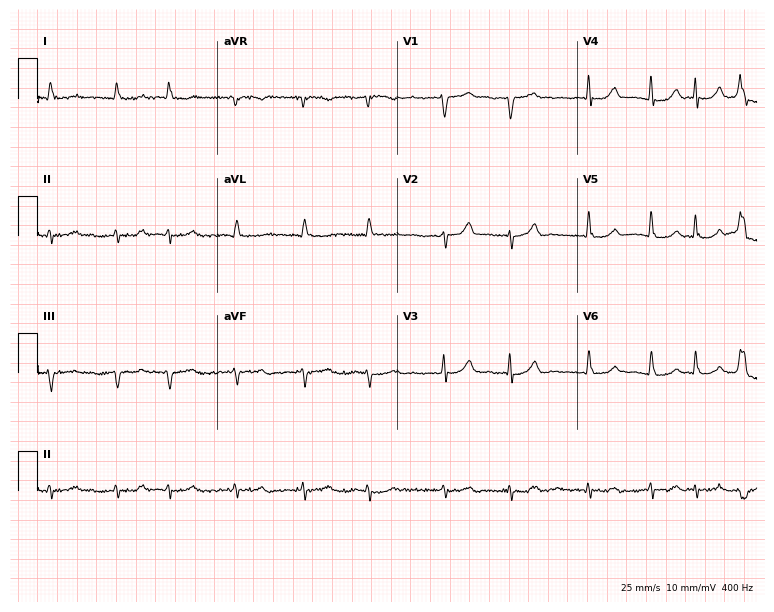
12-lead ECG from an 83-year-old male patient. Findings include atrial fibrillation.